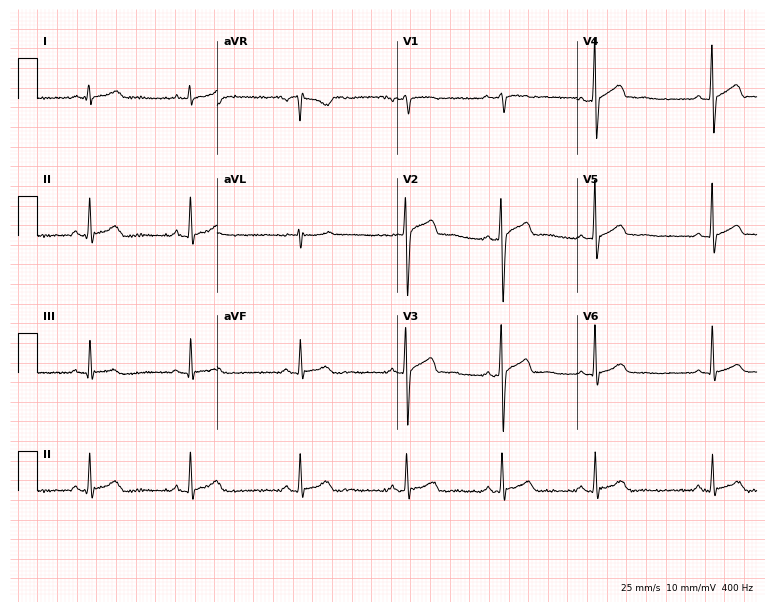
12-lead ECG from a male patient, 21 years old. Labelled as a normal ECG.